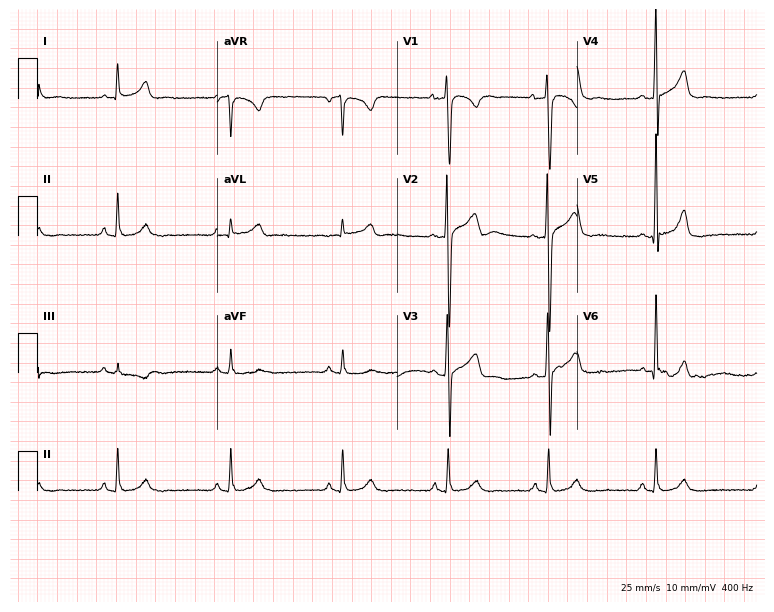
ECG — a 42-year-old male. Labelled as a normal ECG.